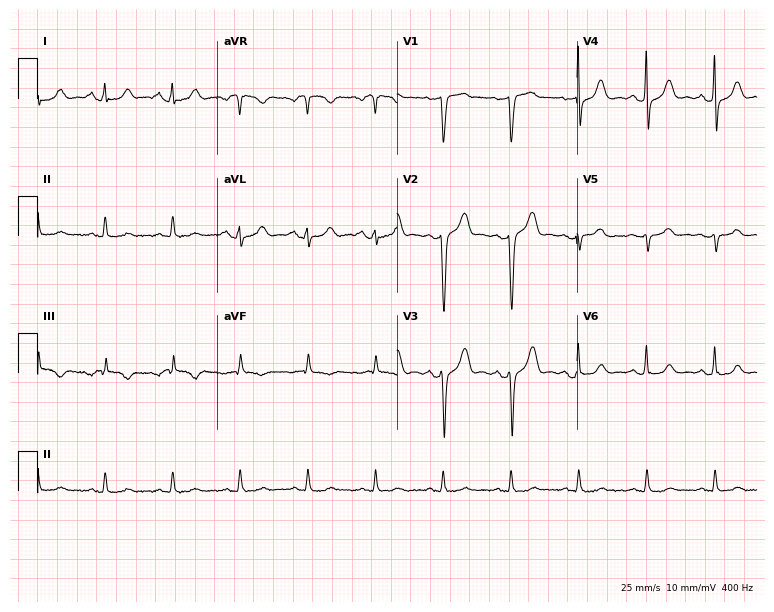
Electrocardiogram, an 80-year-old man. Of the six screened findings (first-degree AV block, right bundle branch block (RBBB), left bundle branch block (LBBB), sinus bradycardia, atrial fibrillation (AF), sinus tachycardia), none is recorded. Only these six findings were labelled.